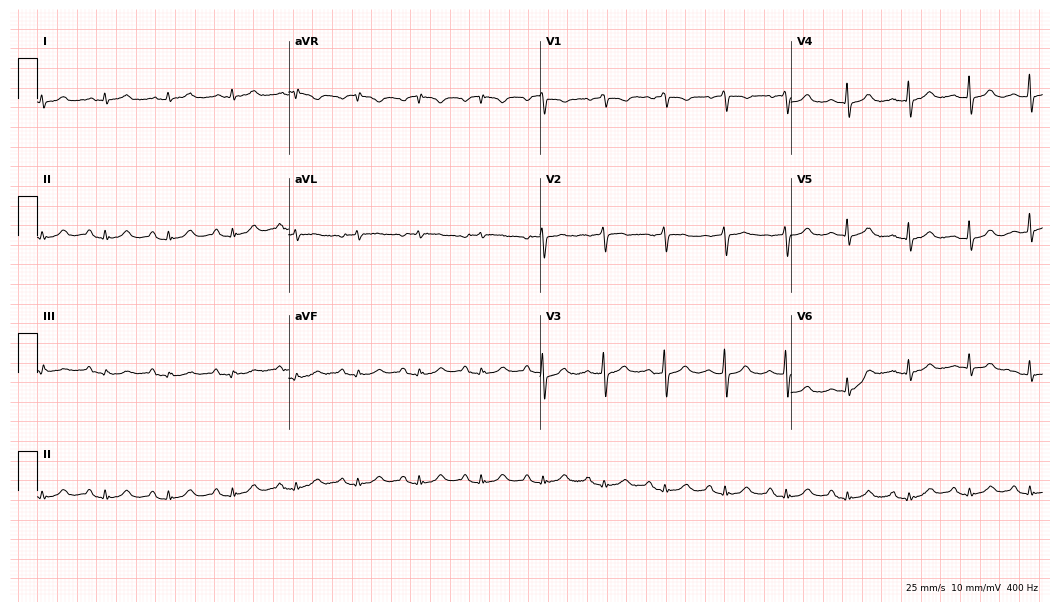
ECG (10.2-second recording at 400 Hz) — an 83-year-old female patient. Labelled as a normal ECG.